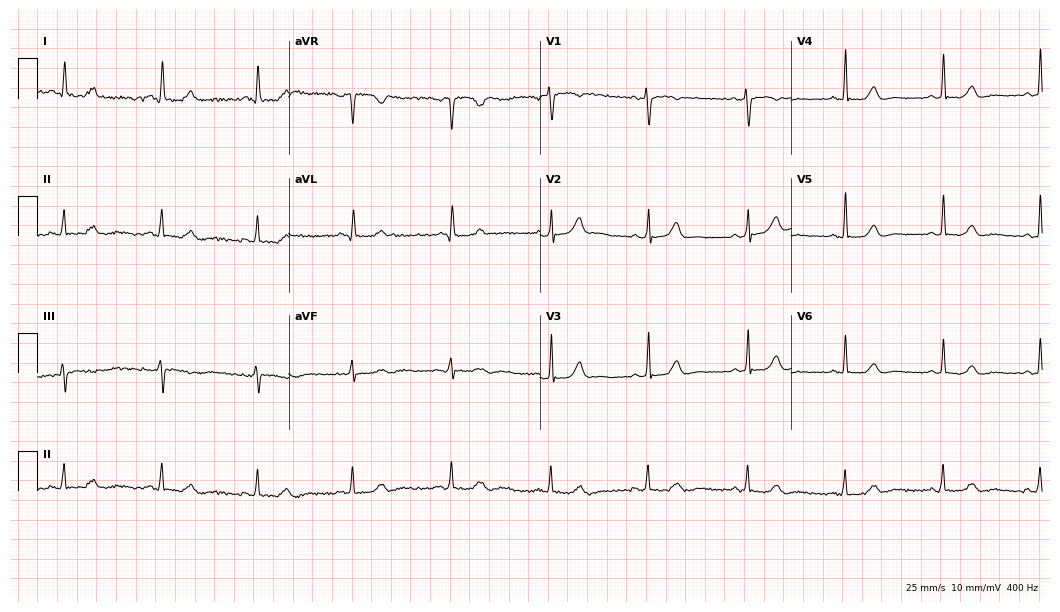
Resting 12-lead electrocardiogram. Patient: a 46-year-old female. Read as a normal ECG.